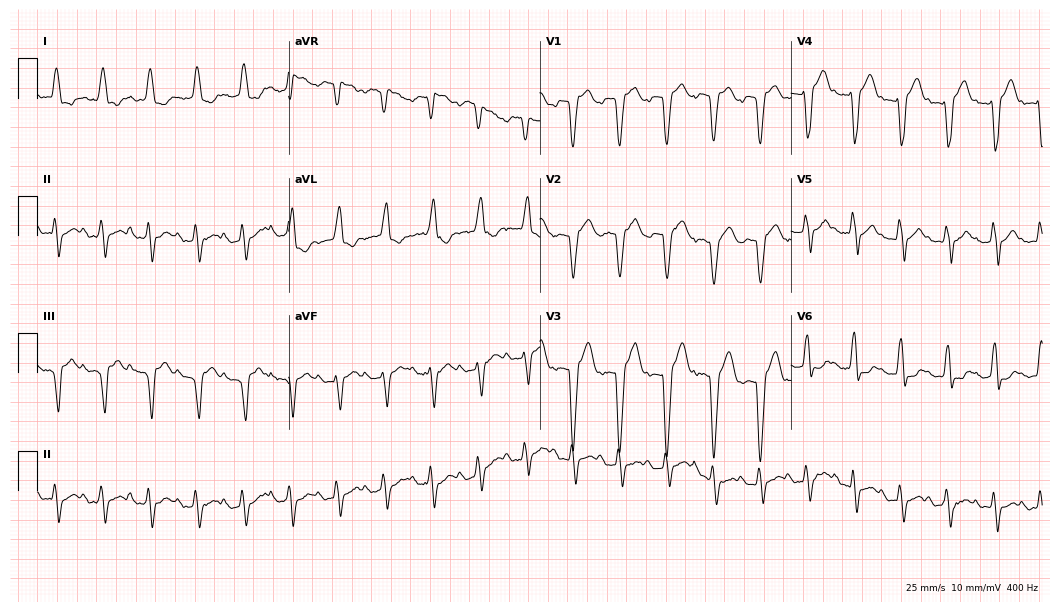
12-lead ECG from a female patient, 81 years old (10.2-second recording at 400 Hz). Shows left bundle branch block, sinus tachycardia (a sinus rate of 100 beats per minute or more).